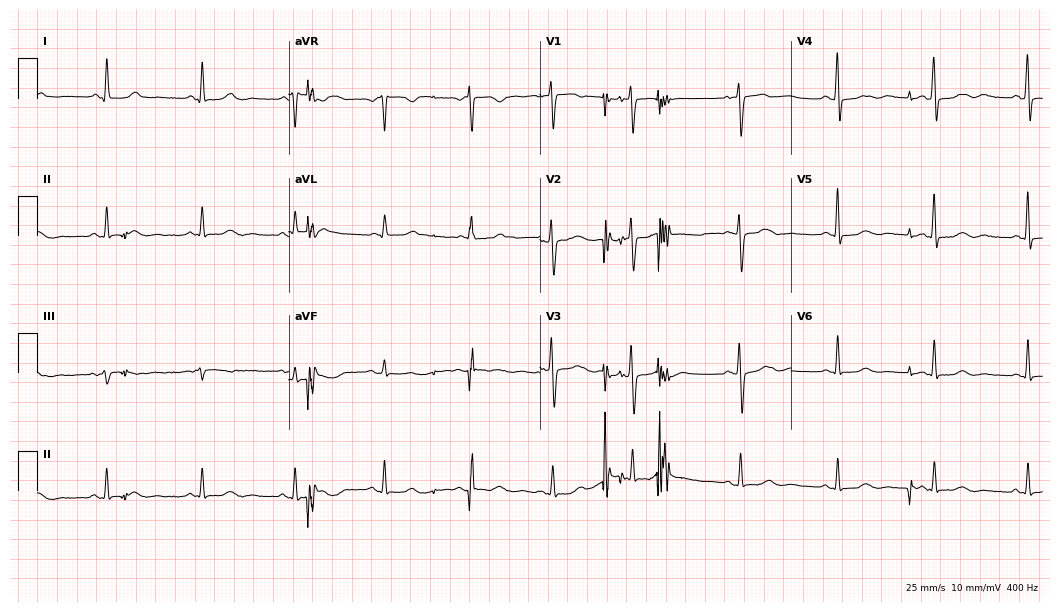
12-lead ECG from a woman, 70 years old. Recorded interpretation: within normal limits.